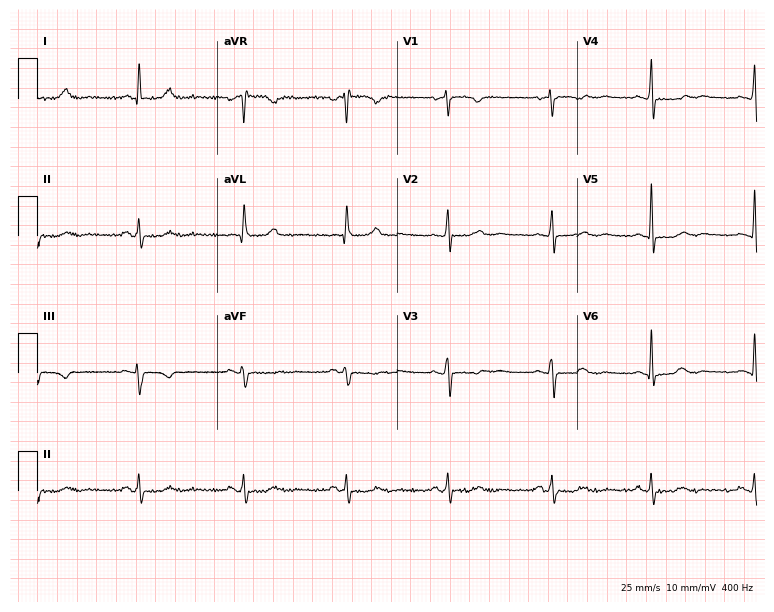
12-lead ECG from a 74-year-old woman. Labelled as a normal ECG.